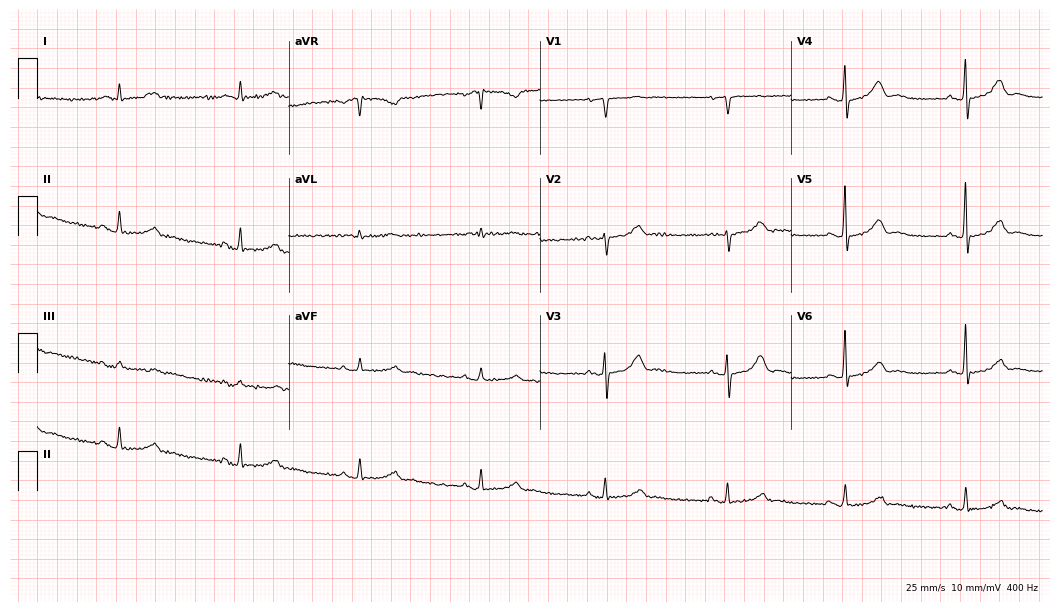
Standard 12-lead ECG recorded from an 83-year-old female. The tracing shows sinus bradycardia (a sinus rate of 50 beats per minute or less).